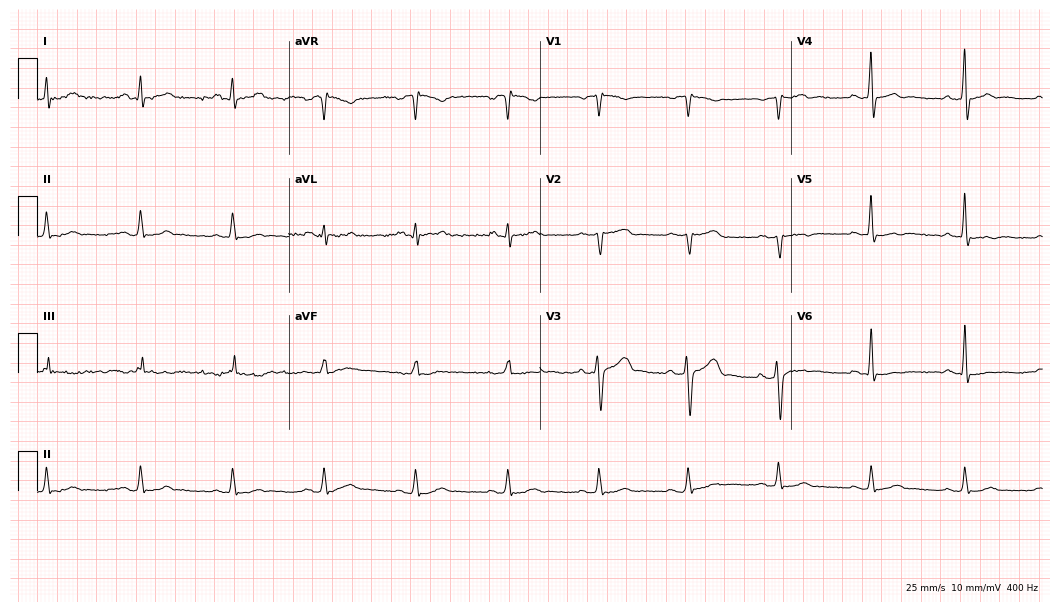
Standard 12-lead ECG recorded from a 42-year-old male. None of these six findings is recorded: first-degree AV block, right bundle branch block (RBBB), left bundle branch block (LBBB), sinus bradycardia, atrial fibrillation (AF), sinus tachycardia.